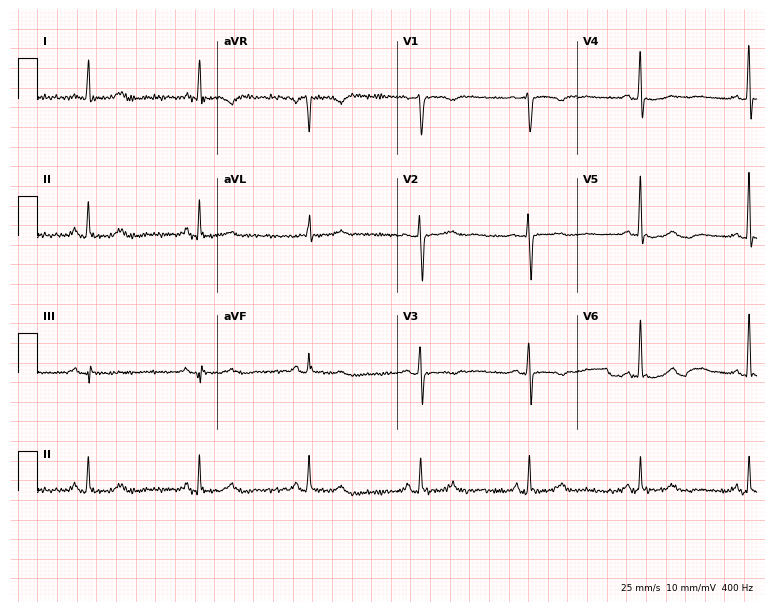
12-lead ECG from a 68-year-old woman. No first-degree AV block, right bundle branch block, left bundle branch block, sinus bradycardia, atrial fibrillation or sinus tachycardia recorded for this tracing. Only these six findings were labelled.